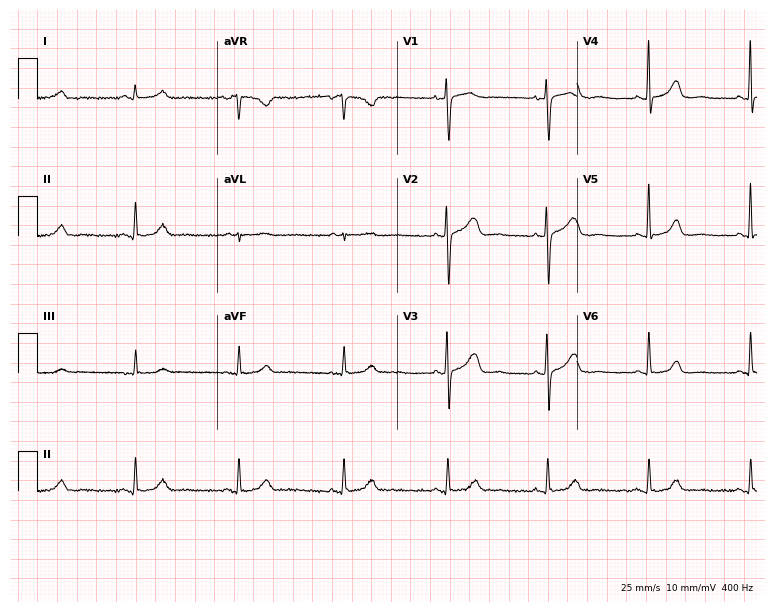
12-lead ECG from a 60-year-old female. No first-degree AV block, right bundle branch block, left bundle branch block, sinus bradycardia, atrial fibrillation or sinus tachycardia recorded for this tracing. Other findings, if any, are not listed.